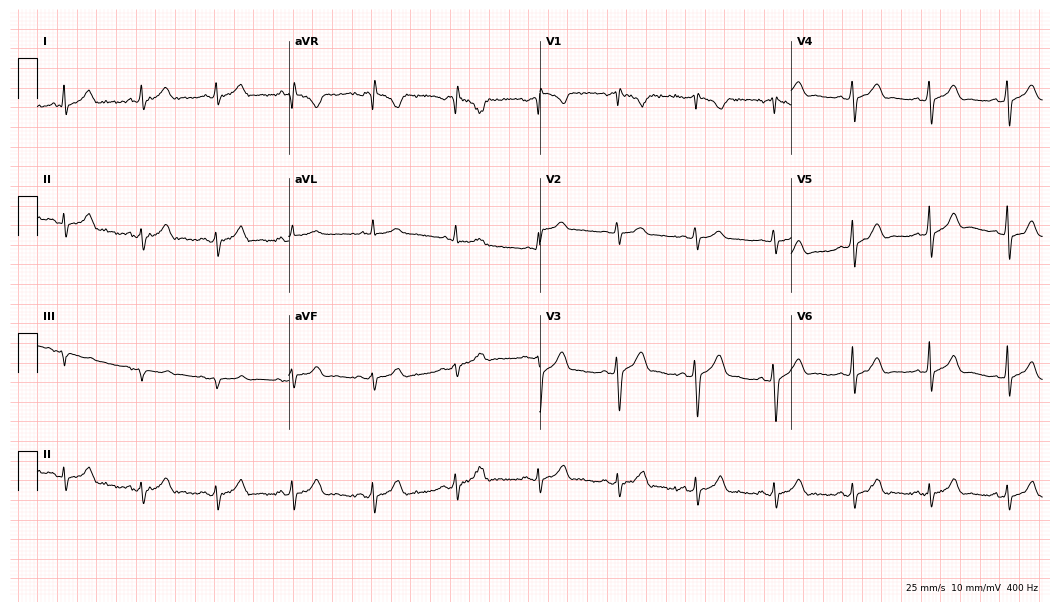
Standard 12-lead ECG recorded from a male, 34 years old (10.2-second recording at 400 Hz). None of these six findings is recorded: first-degree AV block, right bundle branch block, left bundle branch block, sinus bradycardia, atrial fibrillation, sinus tachycardia. Only these six findings were labelled.